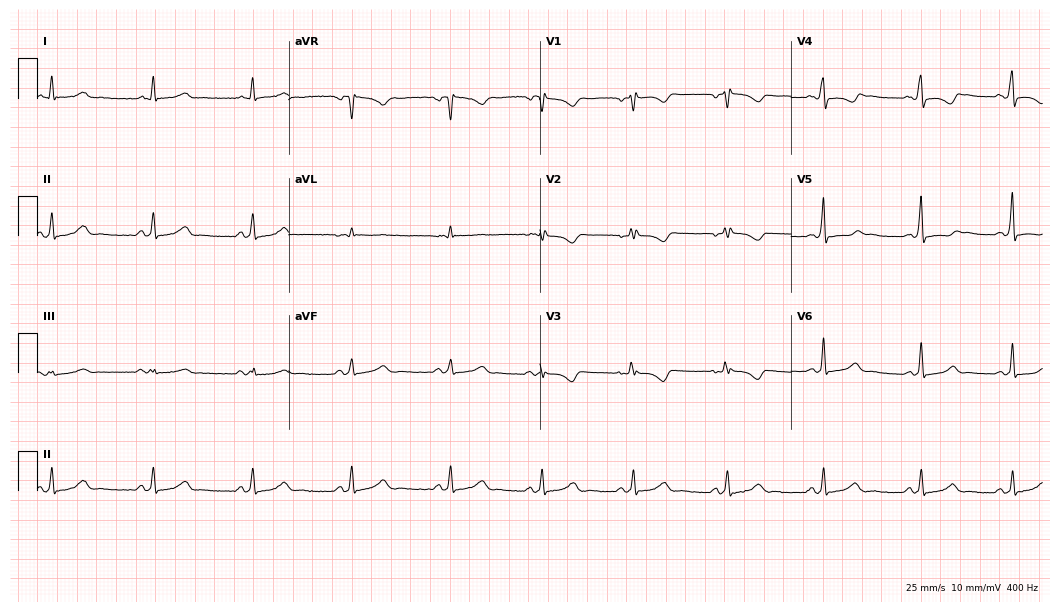
ECG (10.2-second recording at 400 Hz) — a 47-year-old woman. Labelled as a normal ECG.